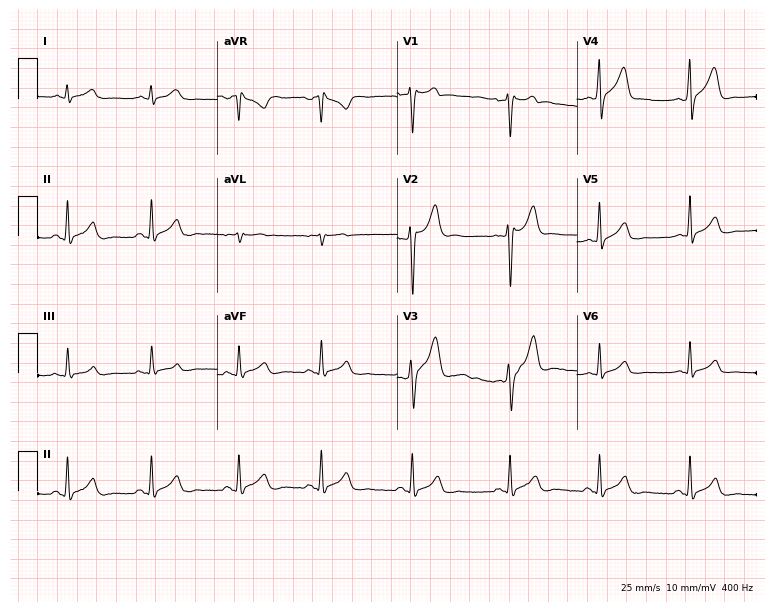
12-lead ECG (7.3-second recording at 400 Hz) from a 24-year-old male patient. Screened for six findings — first-degree AV block, right bundle branch block, left bundle branch block, sinus bradycardia, atrial fibrillation, sinus tachycardia — none is recorded. Only these six findings were labelled.